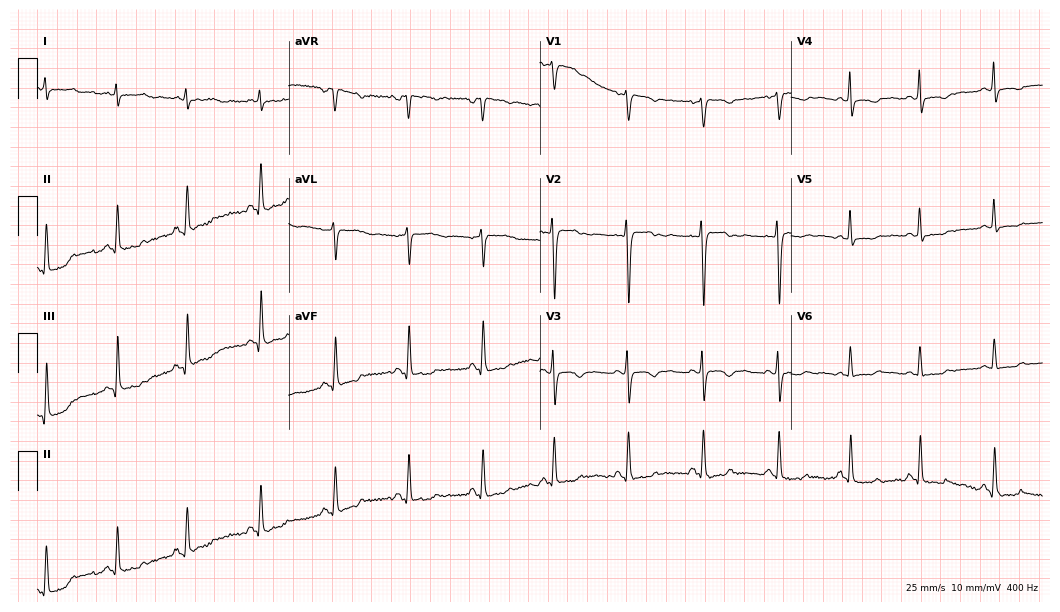
Resting 12-lead electrocardiogram (10.2-second recording at 400 Hz). Patient: a woman, 40 years old. None of these six findings is recorded: first-degree AV block, right bundle branch block (RBBB), left bundle branch block (LBBB), sinus bradycardia, atrial fibrillation (AF), sinus tachycardia.